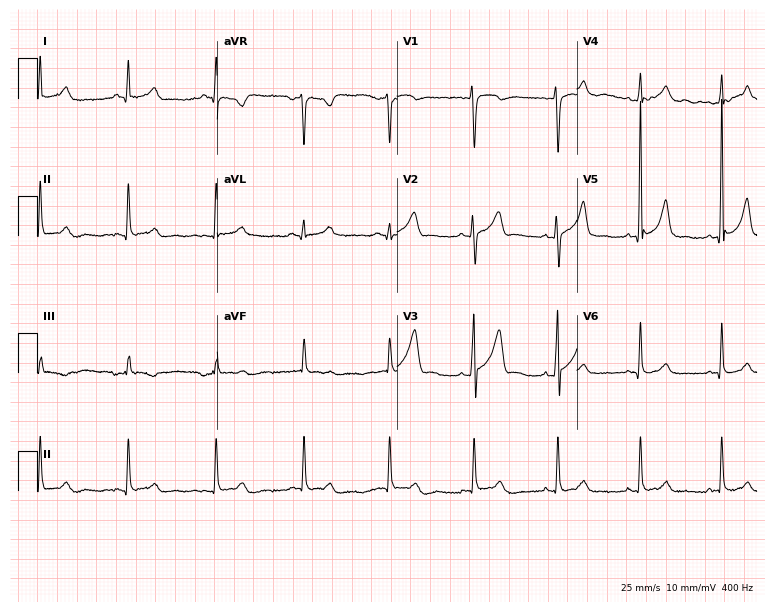
Standard 12-lead ECG recorded from a male, 40 years old. Read as a normal ECG.